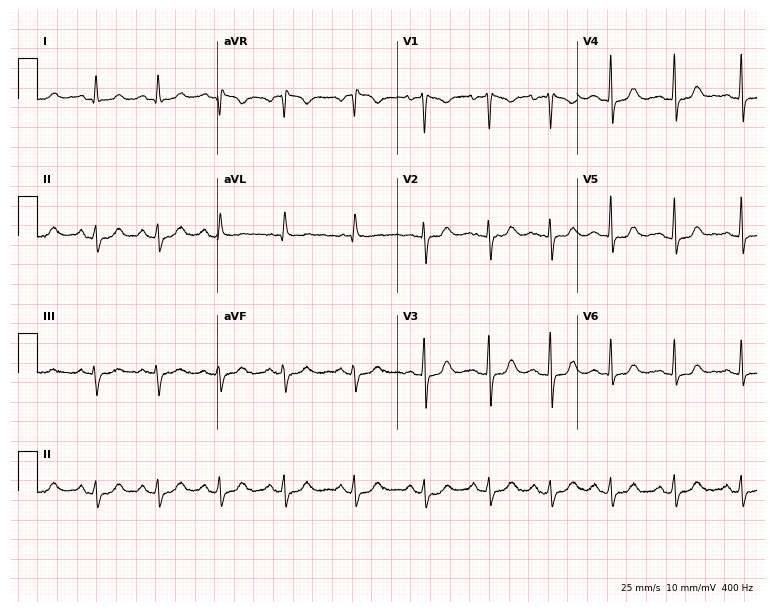
Electrocardiogram, a female, 33 years old. Of the six screened findings (first-degree AV block, right bundle branch block (RBBB), left bundle branch block (LBBB), sinus bradycardia, atrial fibrillation (AF), sinus tachycardia), none is recorded. Findings outside these six are not listed.